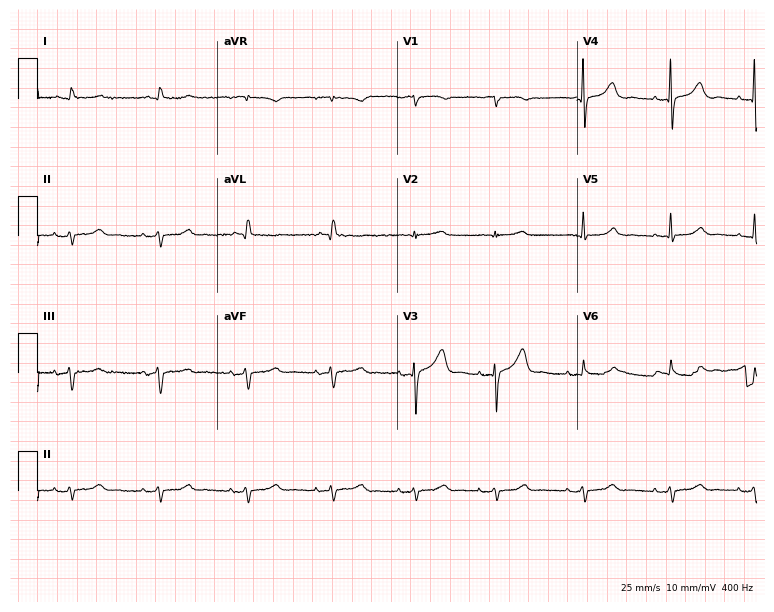
12-lead ECG from an 84-year-old male. Screened for six findings — first-degree AV block, right bundle branch block, left bundle branch block, sinus bradycardia, atrial fibrillation, sinus tachycardia — none is recorded. Only these six findings were labelled.